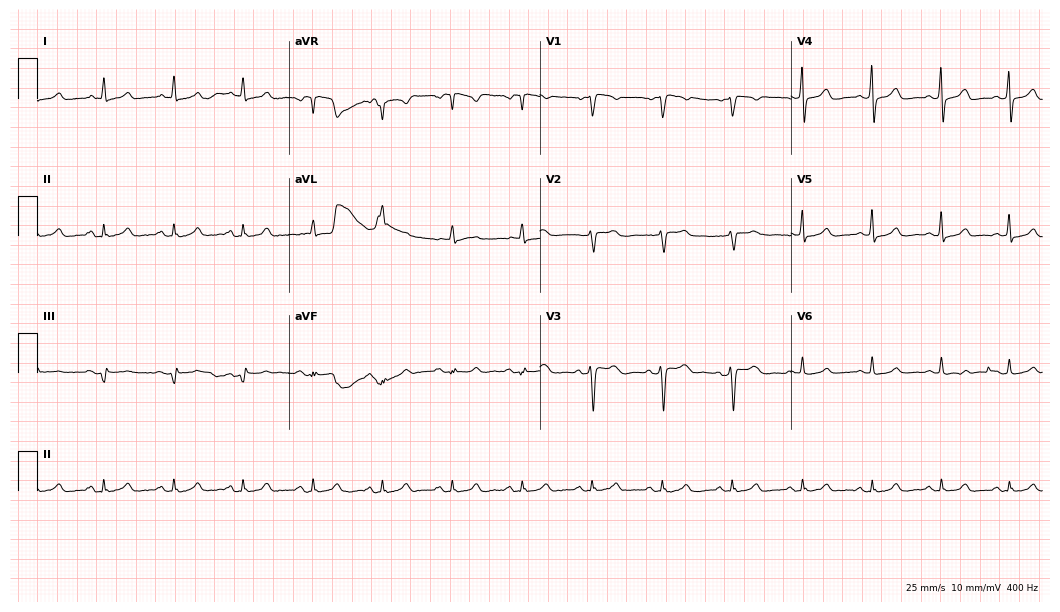
Standard 12-lead ECG recorded from a woman, 59 years old. None of these six findings is recorded: first-degree AV block, right bundle branch block (RBBB), left bundle branch block (LBBB), sinus bradycardia, atrial fibrillation (AF), sinus tachycardia.